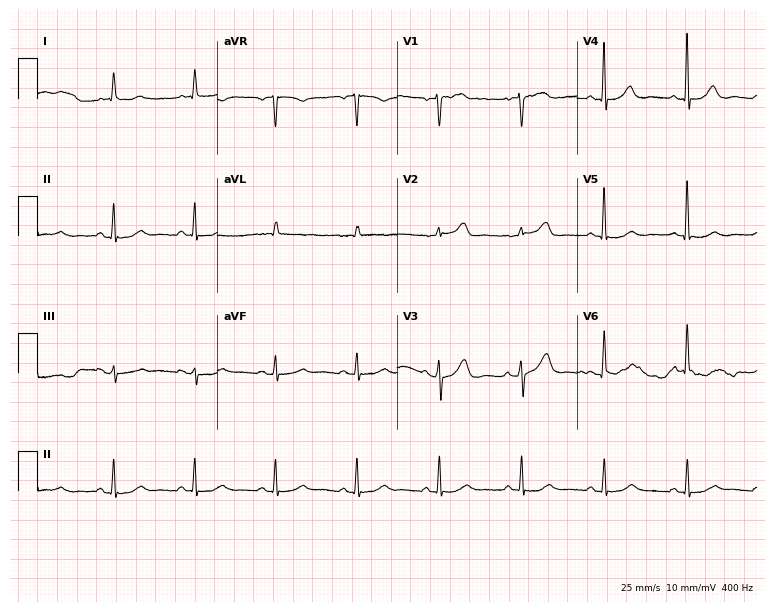
Electrocardiogram, a female, 84 years old. Overall reading on record: normal ECG.